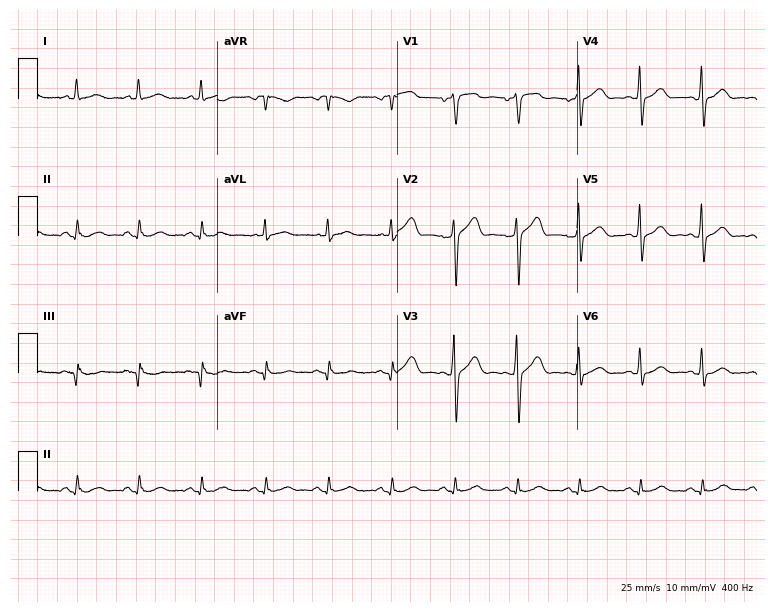
Standard 12-lead ECG recorded from a male, 54 years old. None of these six findings is recorded: first-degree AV block, right bundle branch block, left bundle branch block, sinus bradycardia, atrial fibrillation, sinus tachycardia.